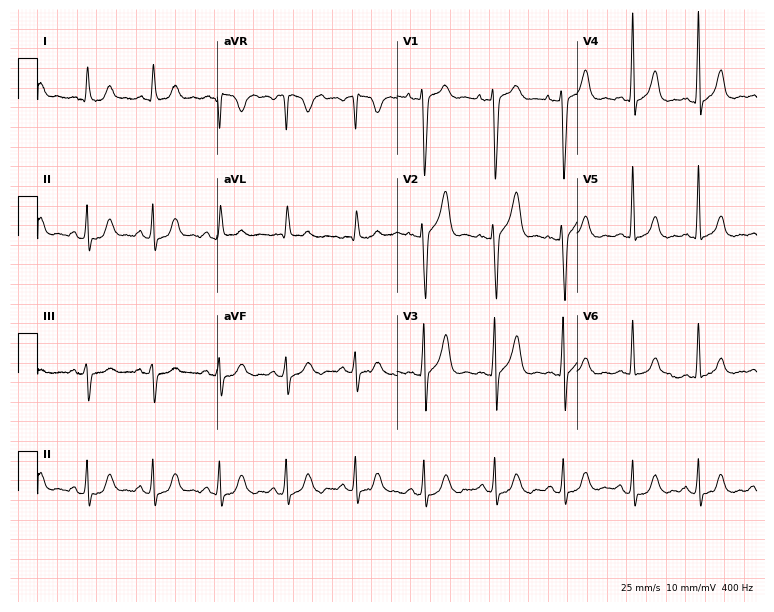
Standard 12-lead ECG recorded from a 60-year-old male patient (7.3-second recording at 400 Hz). Read as a normal ECG.